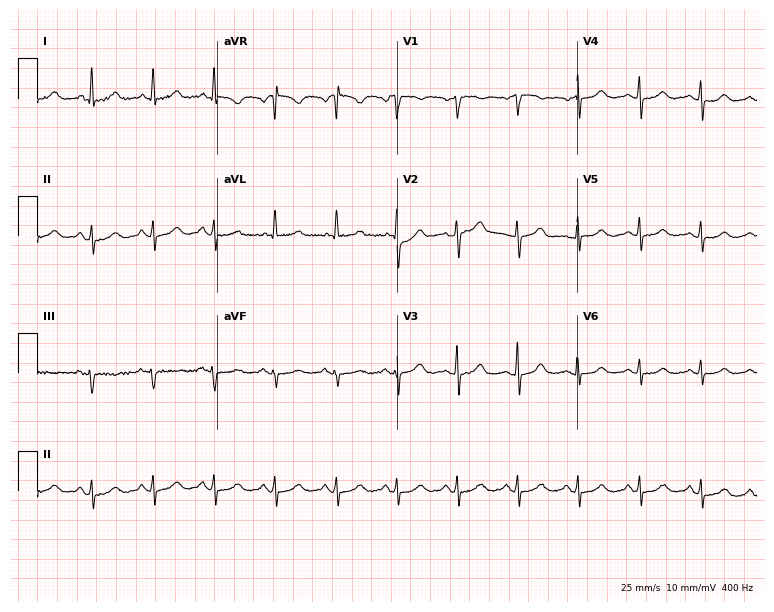
Standard 12-lead ECG recorded from a woman, 64 years old. None of these six findings is recorded: first-degree AV block, right bundle branch block (RBBB), left bundle branch block (LBBB), sinus bradycardia, atrial fibrillation (AF), sinus tachycardia. Other findings, if any, are not listed.